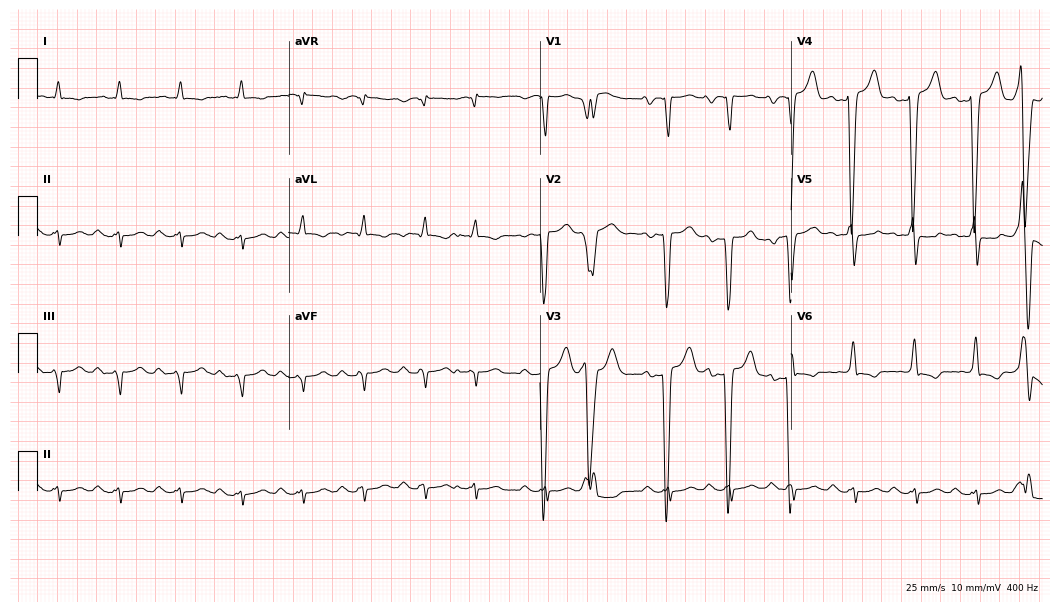
Standard 12-lead ECG recorded from a male, 72 years old (10.2-second recording at 400 Hz). None of these six findings is recorded: first-degree AV block, right bundle branch block, left bundle branch block, sinus bradycardia, atrial fibrillation, sinus tachycardia.